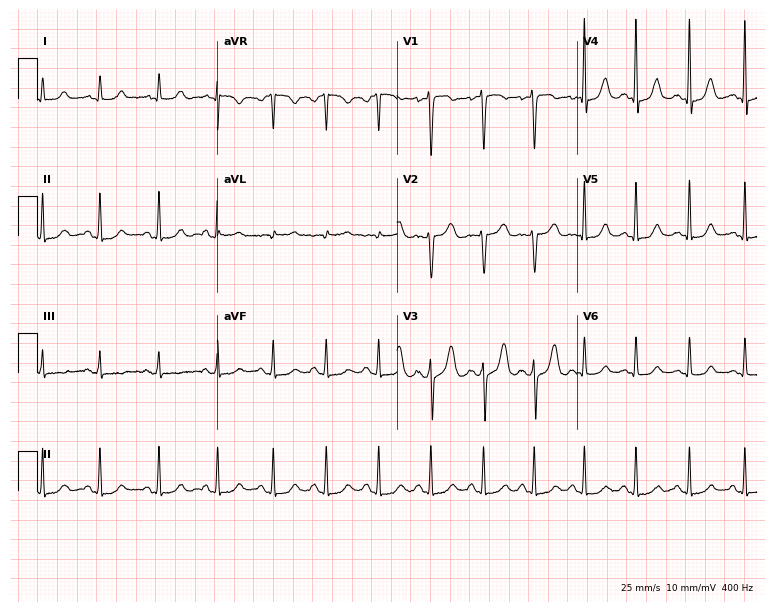
Standard 12-lead ECG recorded from a female, 44 years old (7.3-second recording at 400 Hz). None of these six findings is recorded: first-degree AV block, right bundle branch block (RBBB), left bundle branch block (LBBB), sinus bradycardia, atrial fibrillation (AF), sinus tachycardia.